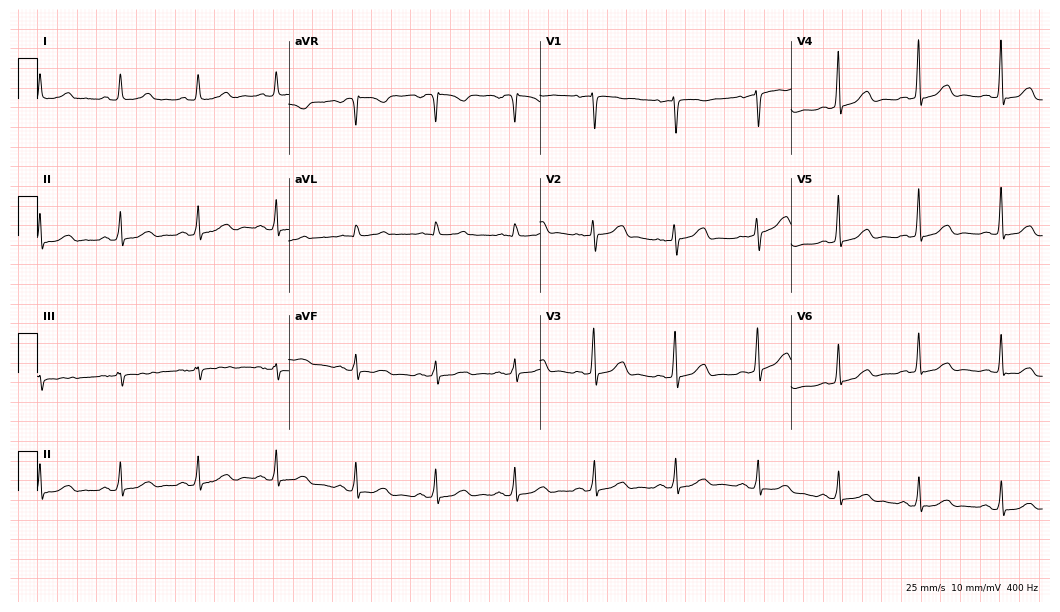
Electrocardiogram (10.2-second recording at 400 Hz), a female, 64 years old. Overall reading on record: normal ECG.